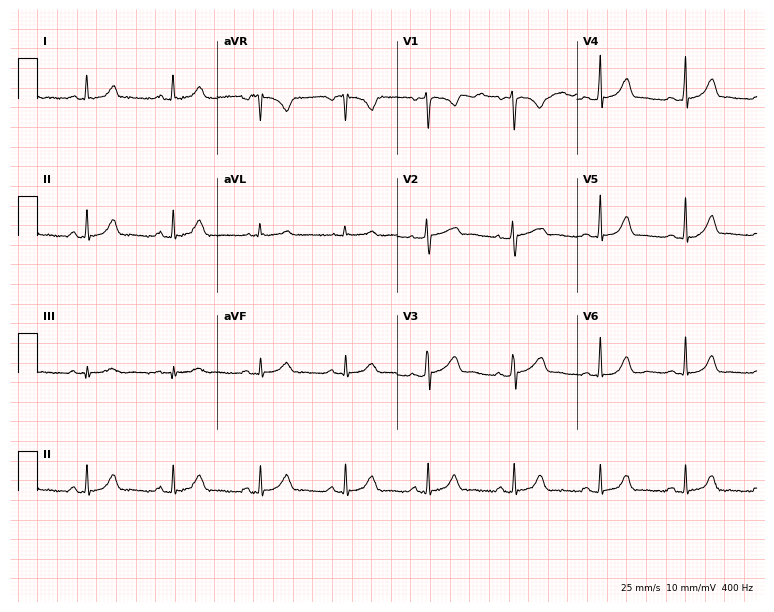
12-lead ECG (7.3-second recording at 400 Hz) from a 35-year-old female. Labelled as a normal ECG.